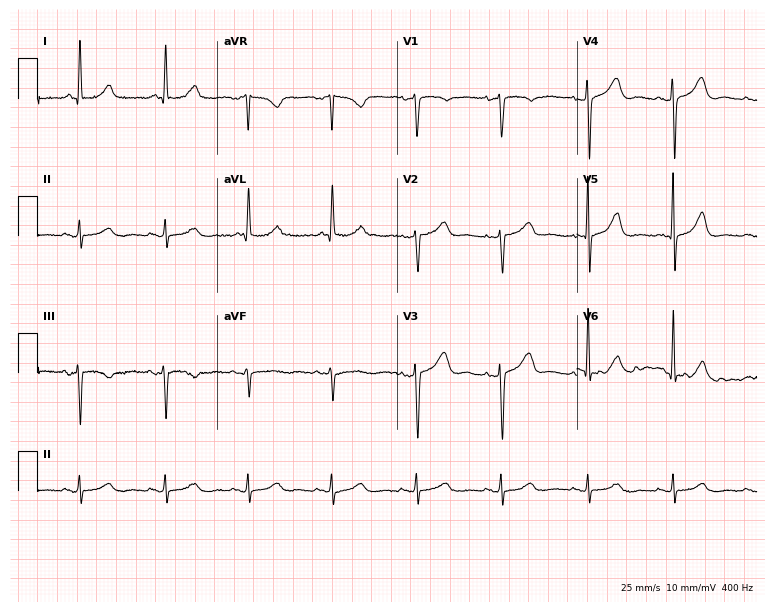
Electrocardiogram, a female patient, 65 years old. Overall reading on record: normal ECG.